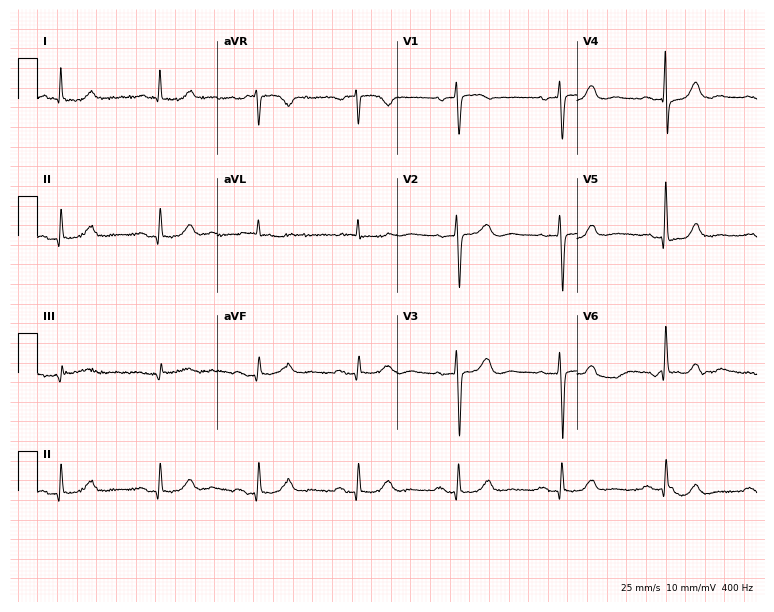
12-lead ECG from a female, 80 years old. No first-degree AV block, right bundle branch block, left bundle branch block, sinus bradycardia, atrial fibrillation or sinus tachycardia recorded for this tracing.